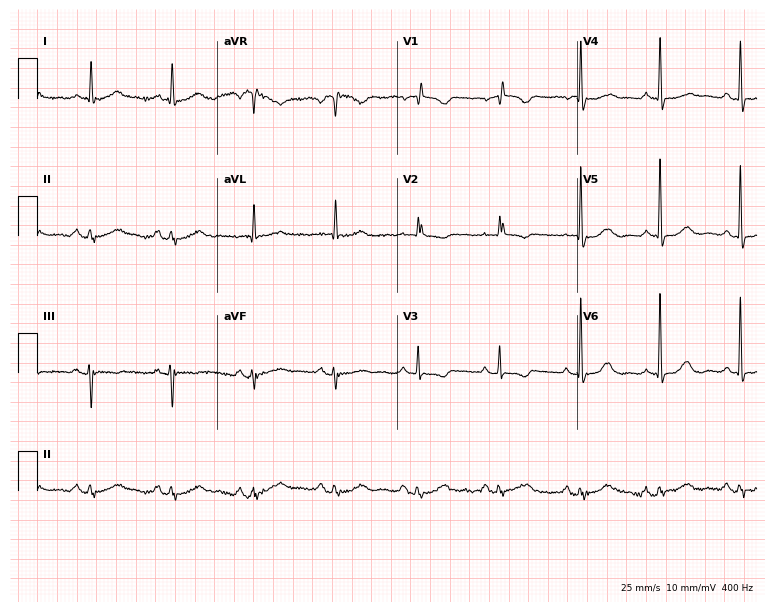
Resting 12-lead electrocardiogram. Patient: a 76-year-old female. None of these six findings is recorded: first-degree AV block, right bundle branch block, left bundle branch block, sinus bradycardia, atrial fibrillation, sinus tachycardia.